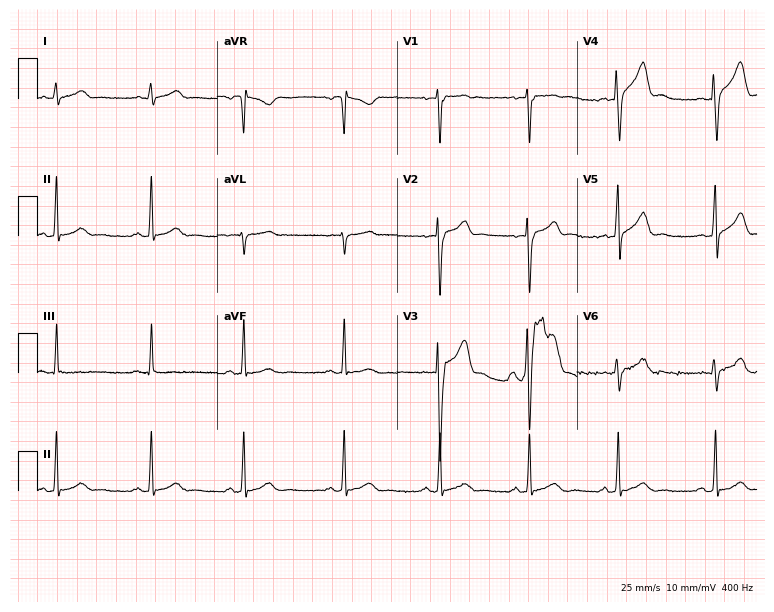
Electrocardiogram (7.3-second recording at 400 Hz), a 30-year-old male. Of the six screened findings (first-degree AV block, right bundle branch block, left bundle branch block, sinus bradycardia, atrial fibrillation, sinus tachycardia), none is recorded.